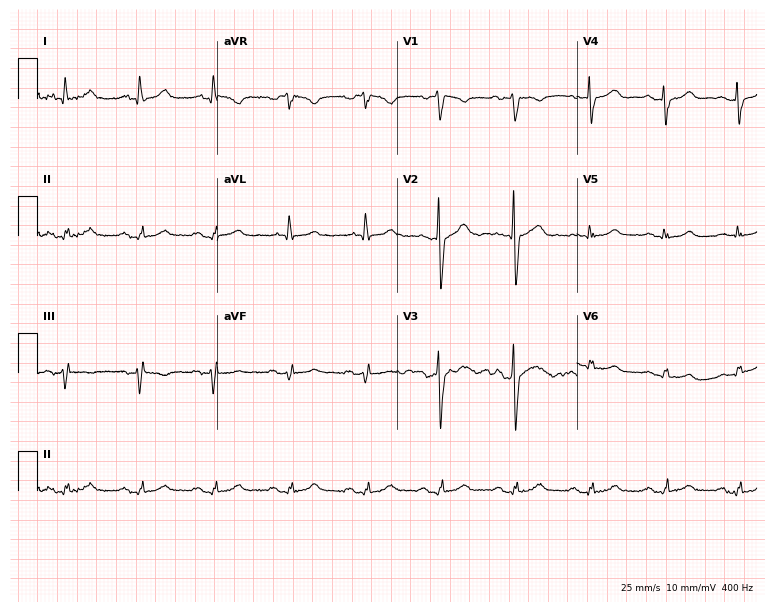
12-lead ECG from a 62-year-old man (7.3-second recording at 400 Hz). Recorded interpretation: within normal limits.